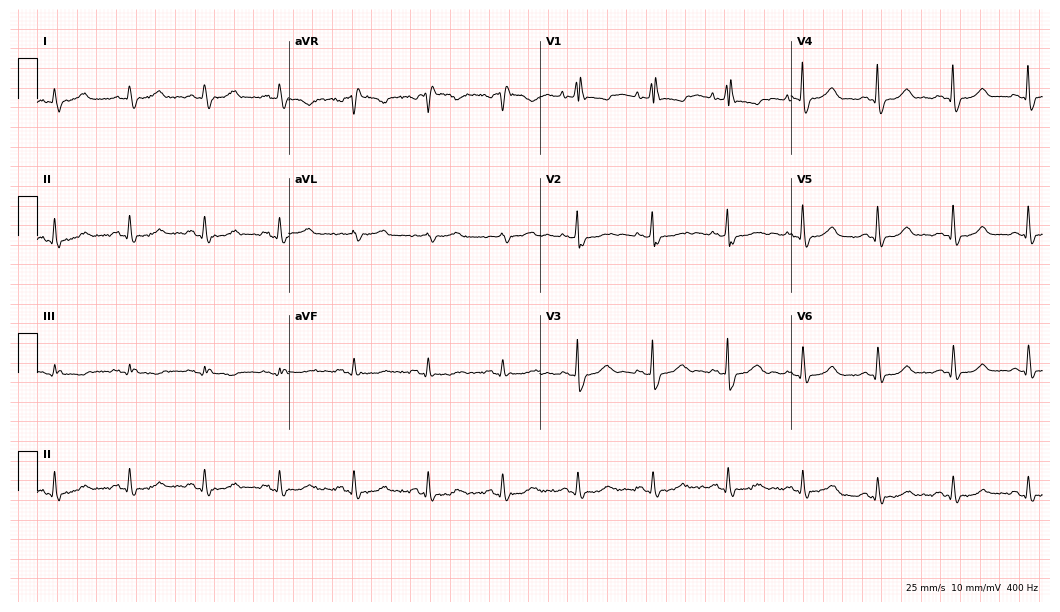
Standard 12-lead ECG recorded from a woman, 83 years old. None of these six findings is recorded: first-degree AV block, right bundle branch block, left bundle branch block, sinus bradycardia, atrial fibrillation, sinus tachycardia.